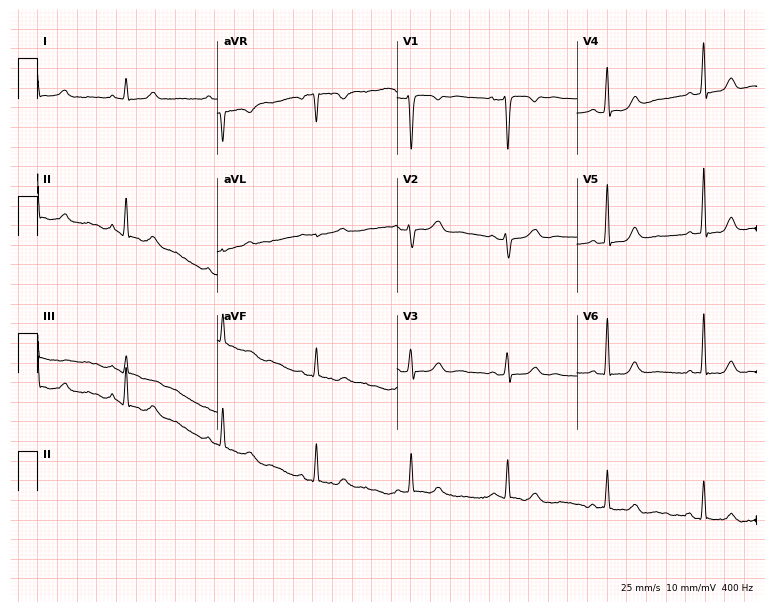
Standard 12-lead ECG recorded from a female, 34 years old. None of these six findings is recorded: first-degree AV block, right bundle branch block (RBBB), left bundle branch block (LBBB), sinus bradycardia, atrial fibrillation (AF), sinus tachycardia.